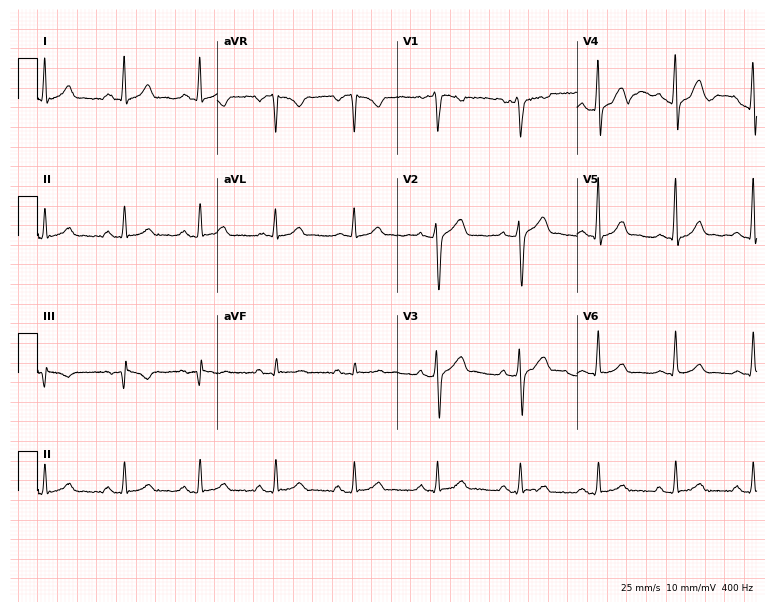
ECG — a male, 33 years old. Labelled as a normal ECG.